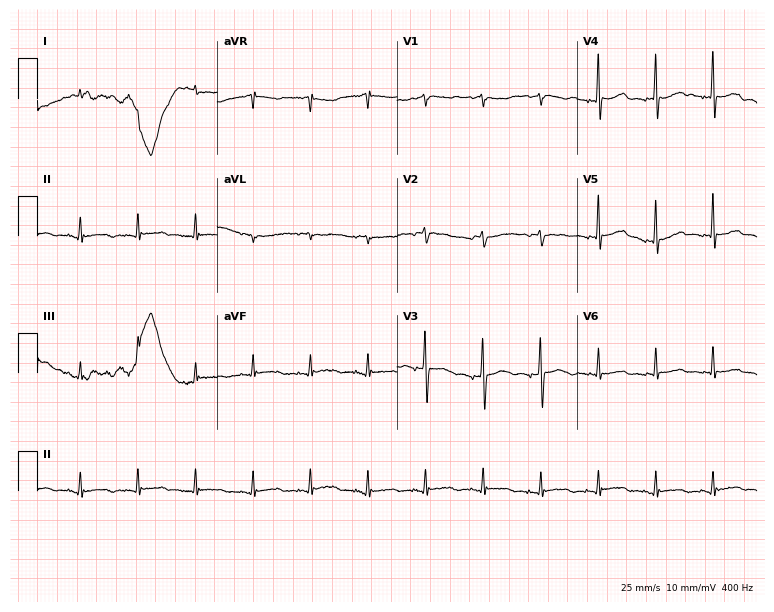
Standard 12-lead ECG recorded from a man, 52 years old. None of these six findings is recorded: first-degree AV block, right bundle branch block (RBBB), left bundle branch block (LBBB), sinus bradycardia, atrial fibrillation (AF), sinus tachycardia. Other findings, if any, are not listed.